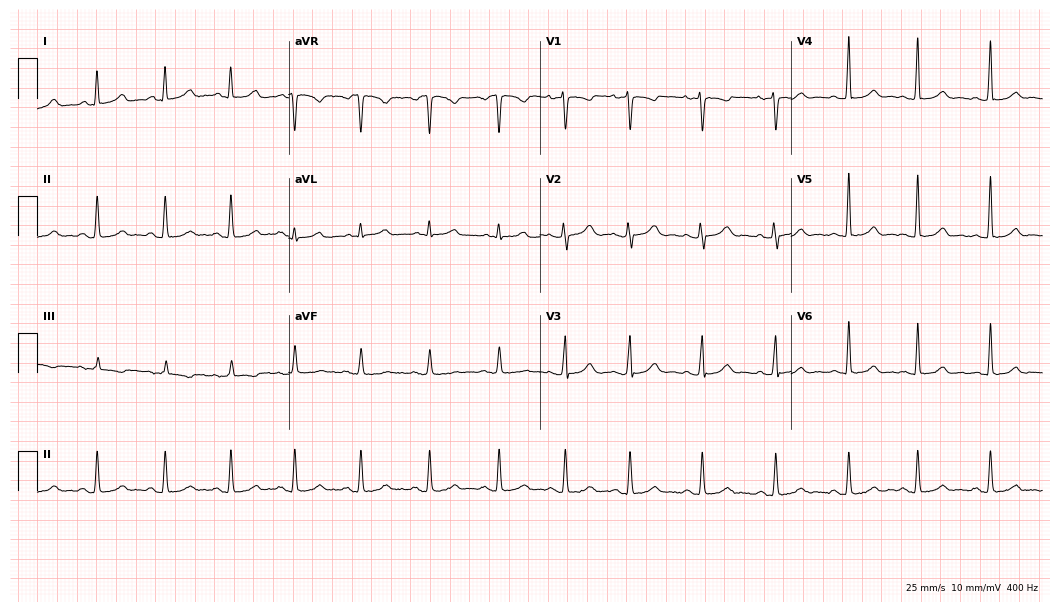
Resting 12-lead electrocardiogram. Patient: a 33-year-old woman. None of these six findings is recorded: first-degree AV block, right bundle branch block, left bundle branch block, sinus bradycardia, atrial fibrillation, sinus tachycardia. Findings outside these six are not listed.